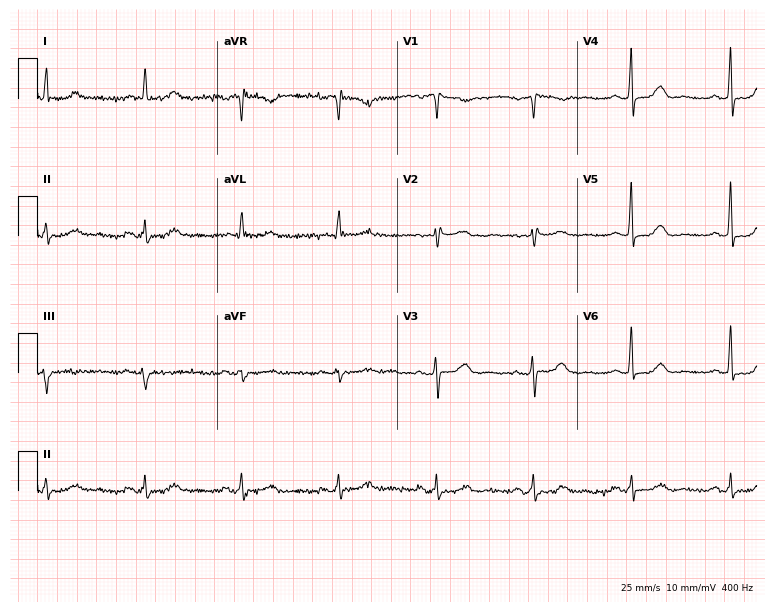
Standard 12-lead ECG recorded from an 84-year-old female patient (7.3-second recording at 400 Hz). None of these six findings is recorded: first-degree AV block, right bundle branch block, left bundle branch block, sinus bradycardia, atrial fibrillation, sinus tachycardia.